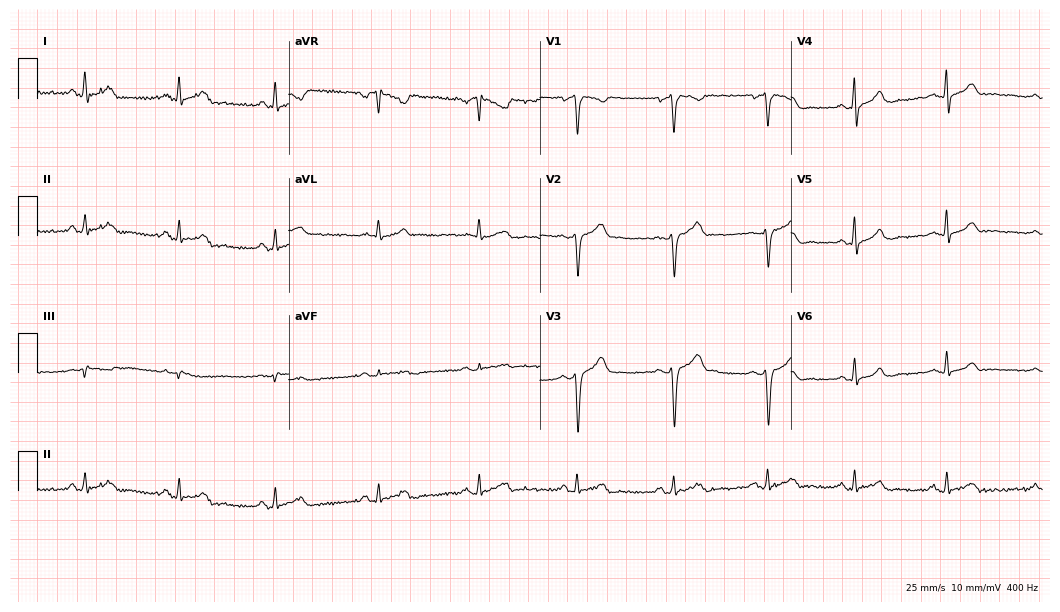
12-lead ECG from a male, 38 years old. No first-degree AV block, right bundle branch block, left bundle branch block, sinus bradycardia, atrial fibrillation or sinus tachycardia recorded for this tracing. Only these six findings were labelled.